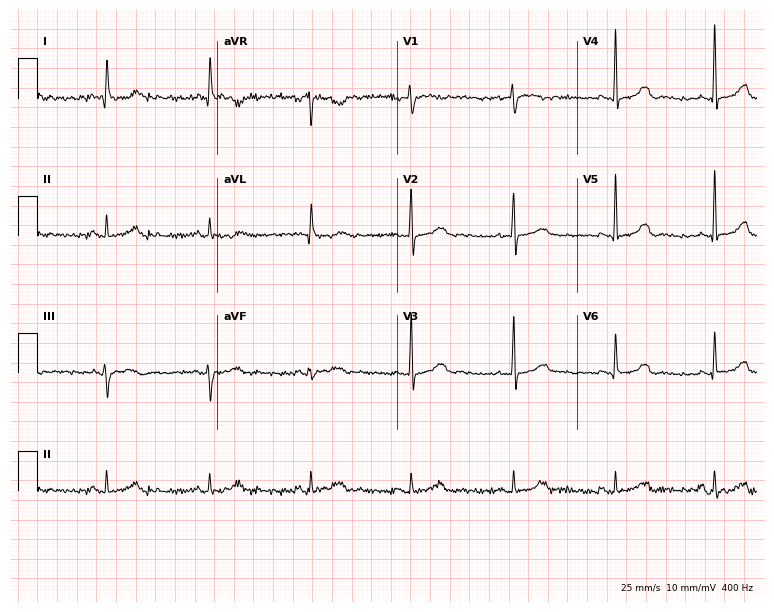
Standard 12-lead ECG recorded from a female patient, 56 years old. None of these six findings is recorded: first-degree AV block, right bundle branch block, left bundle branch block, sinus bradycardia, atrial fibrillation, sinus tachycardia.